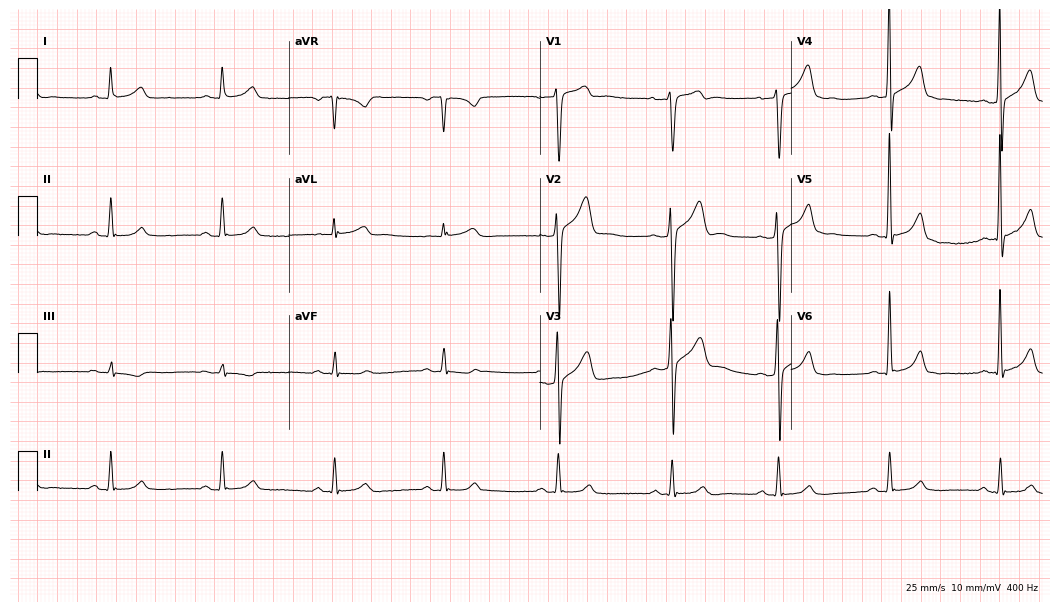
Resting 12-lead electrocardiogram. Patient: a 63-year-old male. Read as a normal ECG.